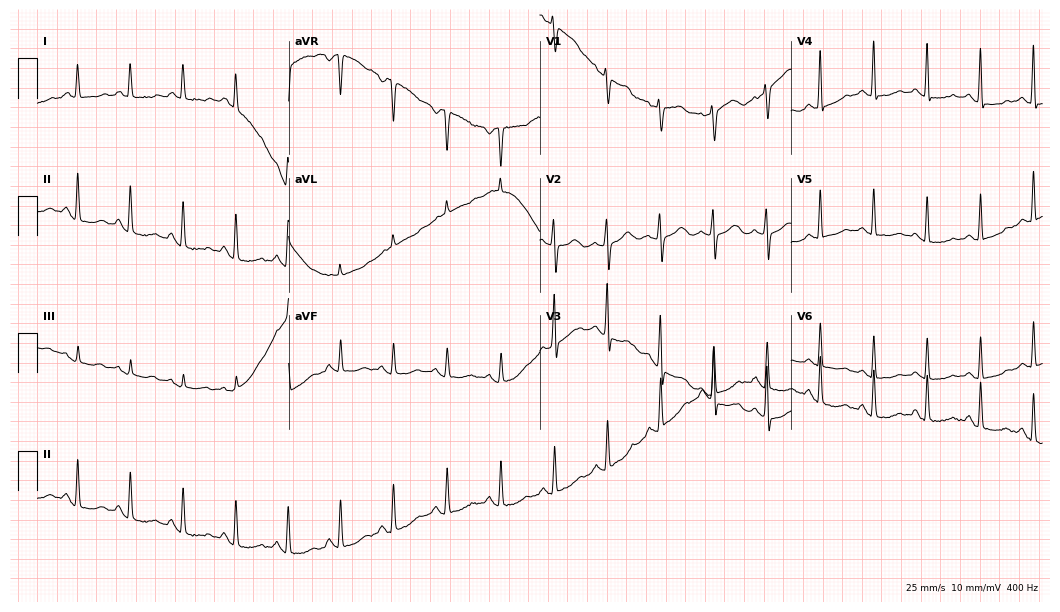
12-lead ECG (10.2-second recording at 400 Hz) from a woman, 62 years old. Screened for six findings — first-degree AV block, right bundle branch block, left bundle branch block, sinus bradycardia, atrial fibrillation, sinus tachycardia — none is recorded.